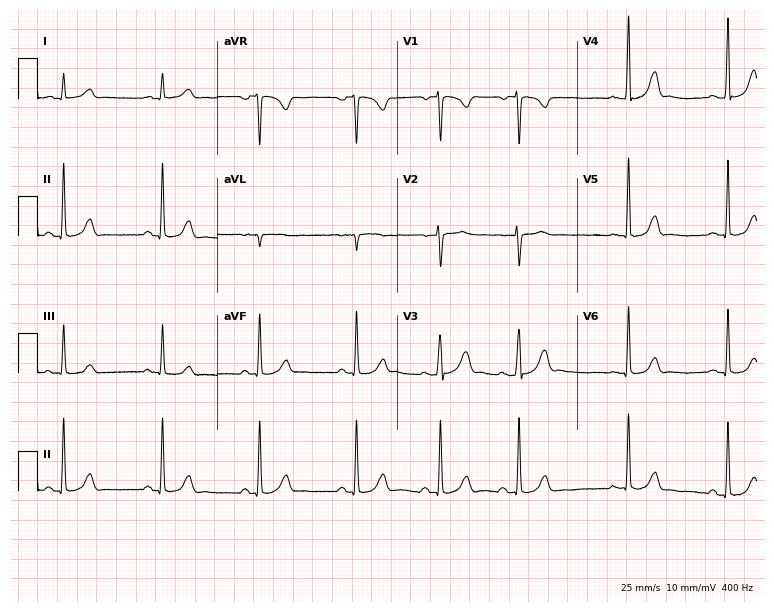
Electrocardiogram (7.3-second recording at 400 Hz), a female, 17 years old. Overall reading on record: normal ECG.